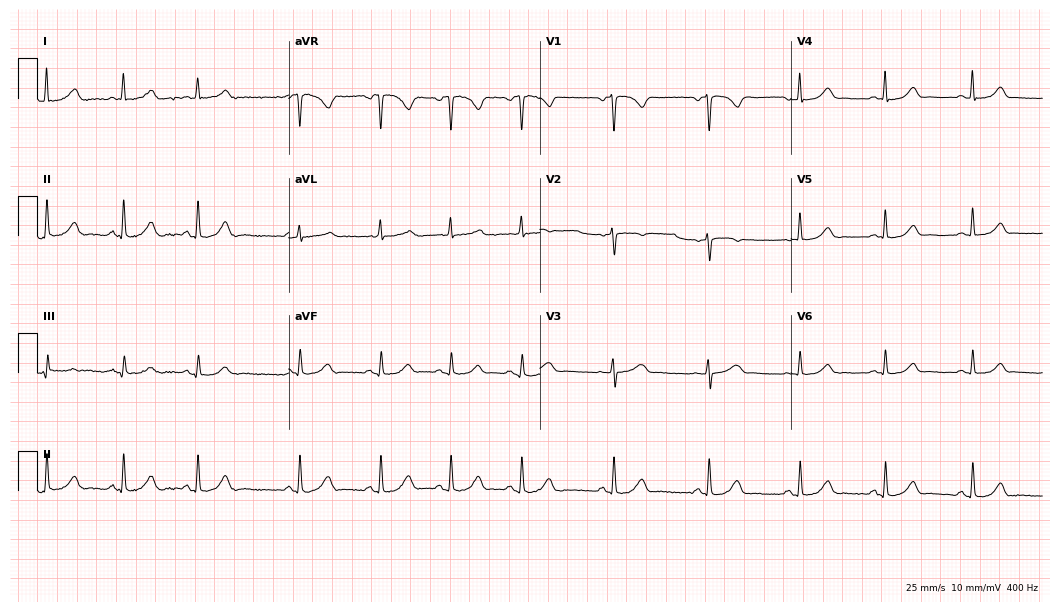
ECG — a female patient, 35 years old. Labelled as a normal ECG.